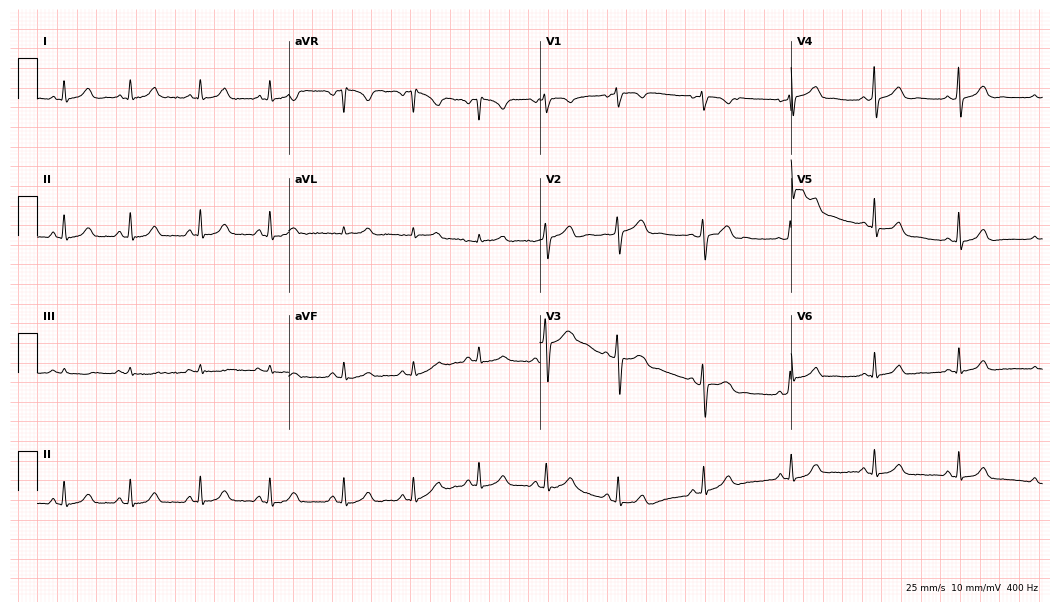
12-lead ECG from a female patient, 21 years old. Recorded interpretation: within normal limits.